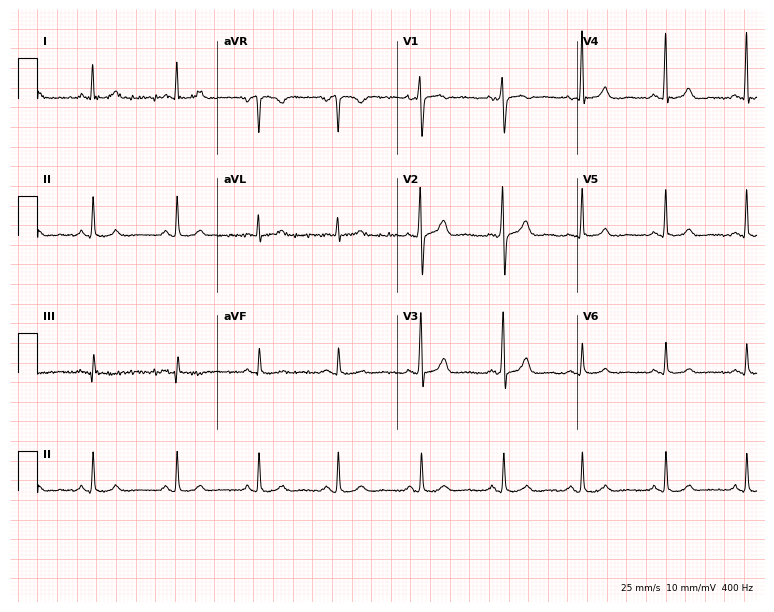
12-lead ECG from a 58-year-old female patient. Screened for six findings — first-degree AV block, right bundle branch block (RBBB), left bundle branch block (LBBB), sinus bradycardia, atrial fibrillation (AF), sinus tachycardia — none is recorded. Findings outside these six are not listed.